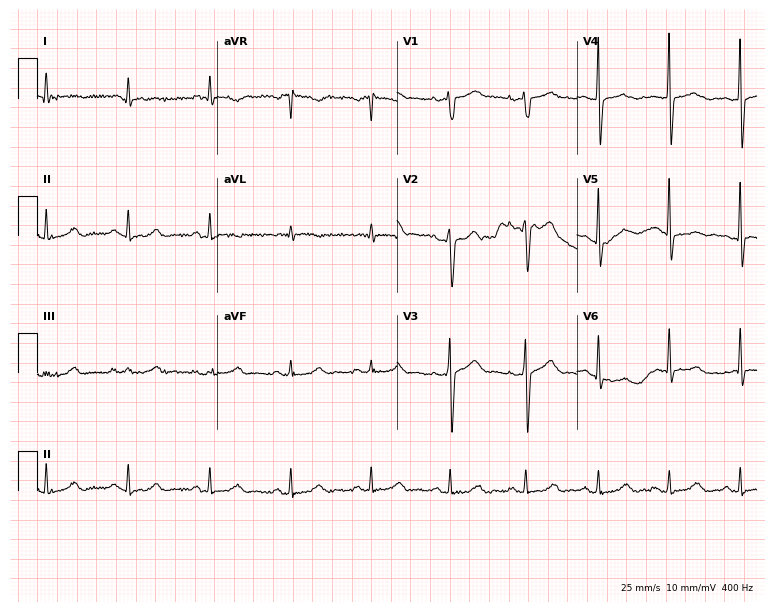
ECG — a male patient, 58 years old. Screened for six findings — first-degree AV block, right bundle branch block, left bundle branch block, sinus bradycardia, atrial fibrillation, sinus tachycardia — none is recorded. Only these six findings were labelled.